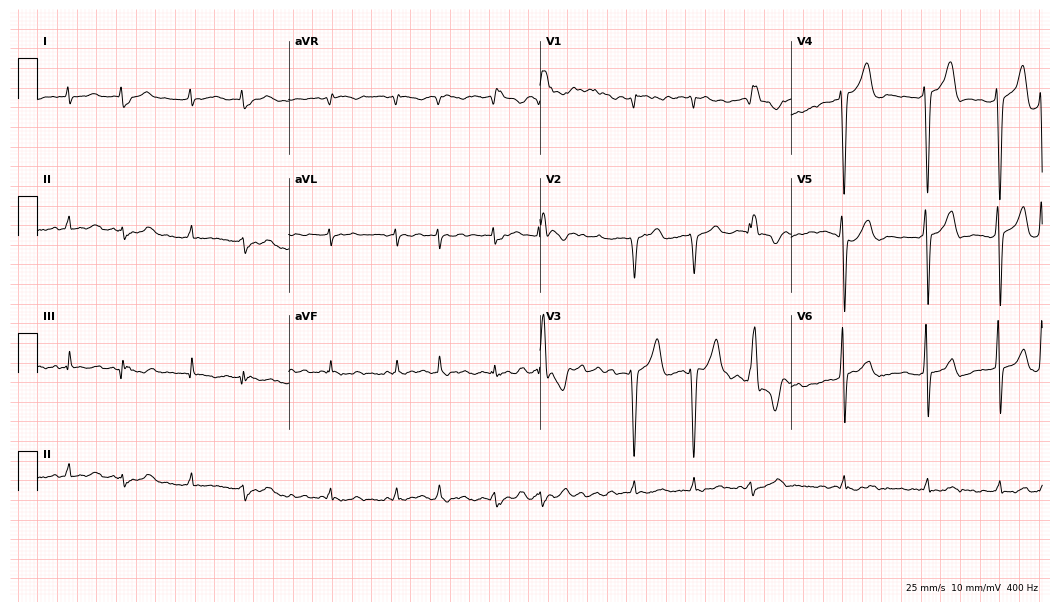
Electrocardiogram (10.2-second recording at 400 Hz), a male, 78 years old. Interpretation includes atrial fibrillation.